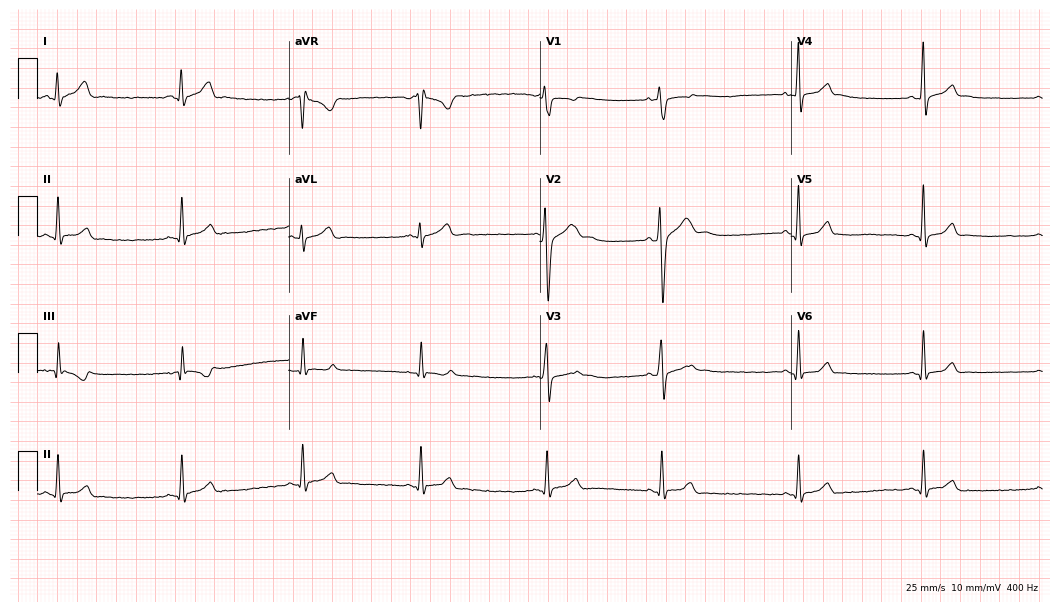
ECG — a male, 18 years old. Findings include sinus bradycardia (a sinus rate of 50 beats per minute or less).